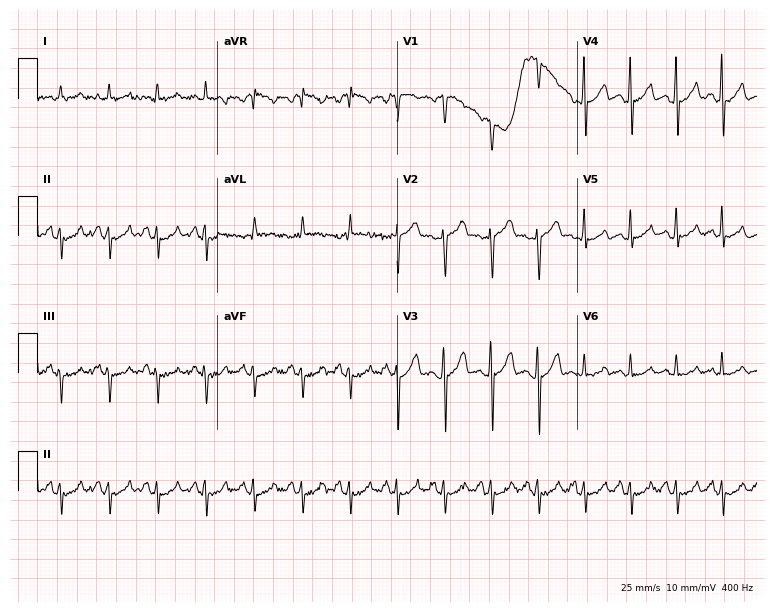
Standard 12-lead ECG recorded from a 35-year-old male patient (7.3-second recording at 400 Hz). The tracing shows sinus tachycardia (a sinus rate of 100 beats per minute or more).